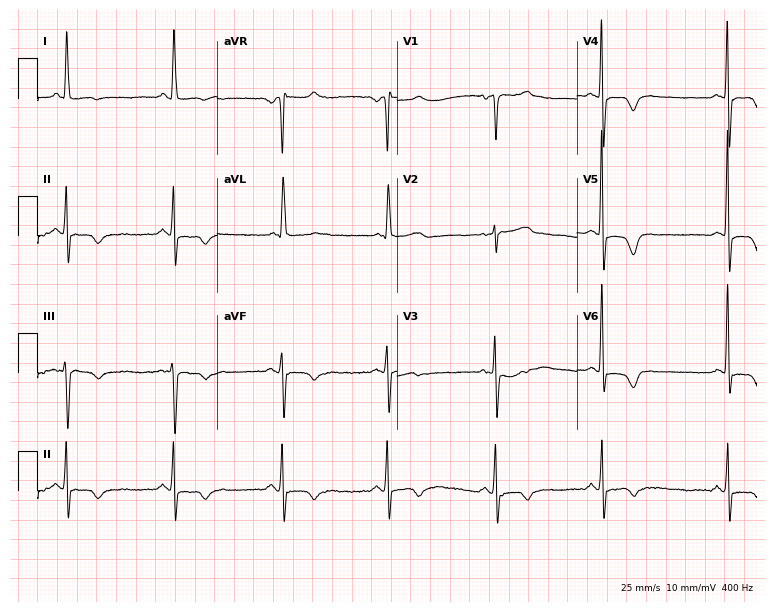
Standard 12-lead ECG recorded from a 74-year-old woman. None of these six findings is recorded: first-degree AV block, right bundle branch block (RBBB), left bundle branch block (LBBB), sinus bradycardia, atrial fibrillation (AF), sinus tachycardia.